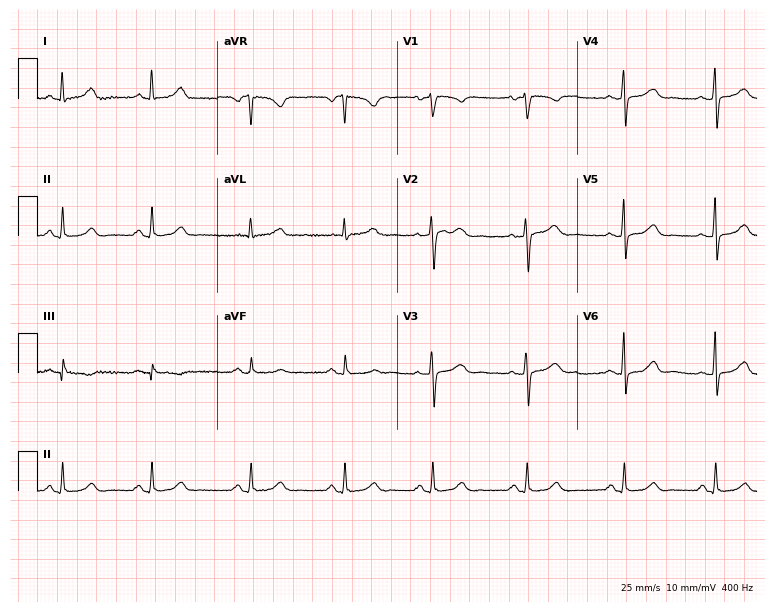
12-lead ECG from a 50-year-old female. No first-degree AV block, right bundle branch block (RBBB), left bundle branch block (LBBB), sinus bradycardia, atrial fibrillation (AF) or sinus tachycardia recorded for this tracing.